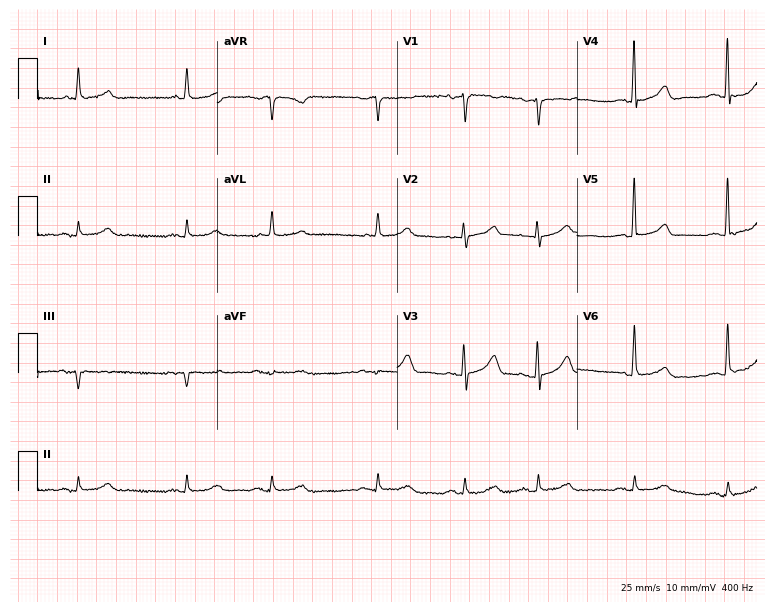
Resting 12-lead electrocardiogram (7.3-second recording at 400 Hz). Patient: an 81-year-old female. None of these six findings is recorded: first-degree AV block, right bundle branch block, left bundle branch block, sinus bradycardia, atrial fibrillation, sinus tachycardia. Only these six findings were labelled.